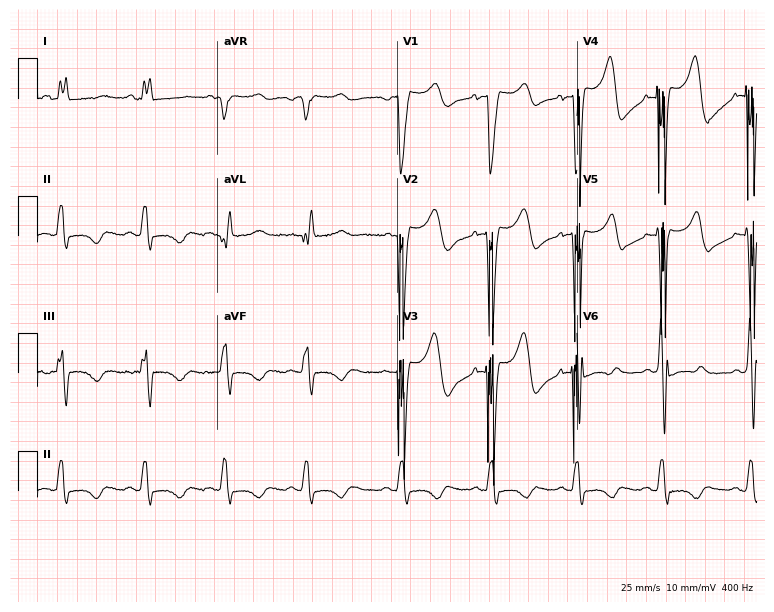
Resting 12-lead electrocardiogram. Patient: a 71-year-old female. None of these six findings is recorded: first-degree AV block, right bundle branch block, left bundle branch block, sinus bradycardia, atrial fibrillation, sinus tachycardia.